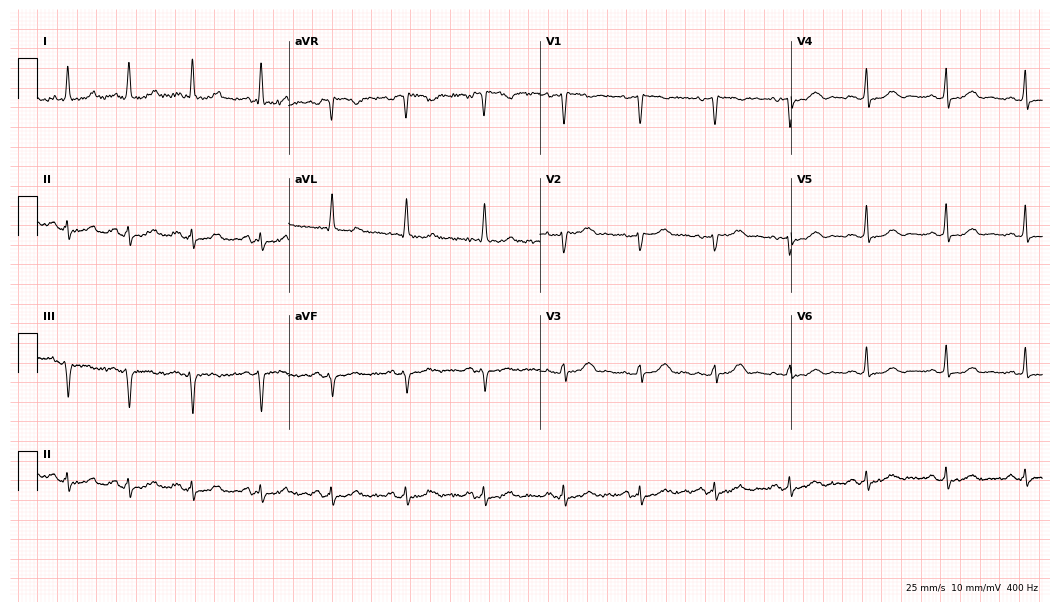
ECG — a woman, 47 years old. Screened for six findings — first-degree AV block, right bundle branch block, left bundle branch block, sinus bradycardia, atrial fibrillation, sinus tachycardia — none is recorded. Only these six findings were labelled.